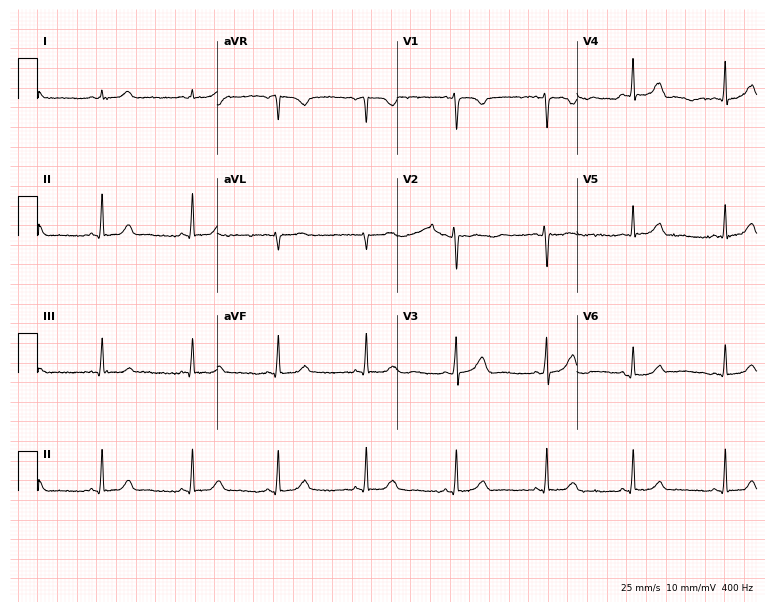
Electrocardiogram (7.3-second recording at 400 Hz), a woman, 40 years old. Of the six screened findings (first-degree AV block, right bundle branch block, left bundle branch block, sinus bradycardia, atrial fibrillation, sinus tachycardia), none is recorded.